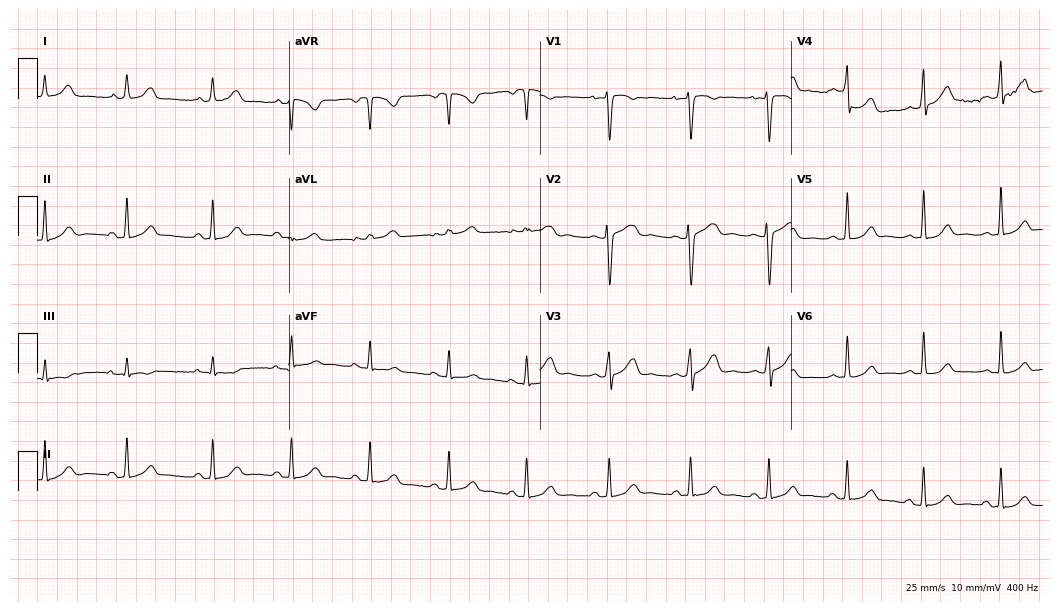
Electrocardiogram, a female patient, 32 years old. Overall reading on record: normal ECG.